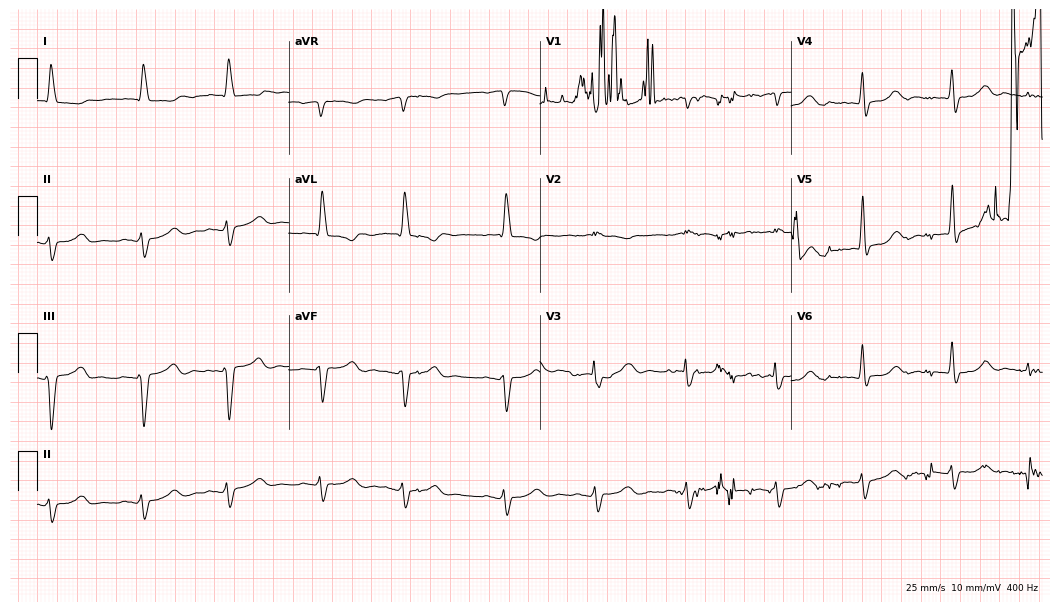
Standard 12-lead ECG recorded from a female patient, 86 years old (10.2-second recording at 400 Hz). None of these six findings is recorded: first-degree AV block, right bundle branch block (RBBB), left bundle branch block (LBBB), sinus bradycardia, atrial fibrillation (AF), sinus tachycardia.